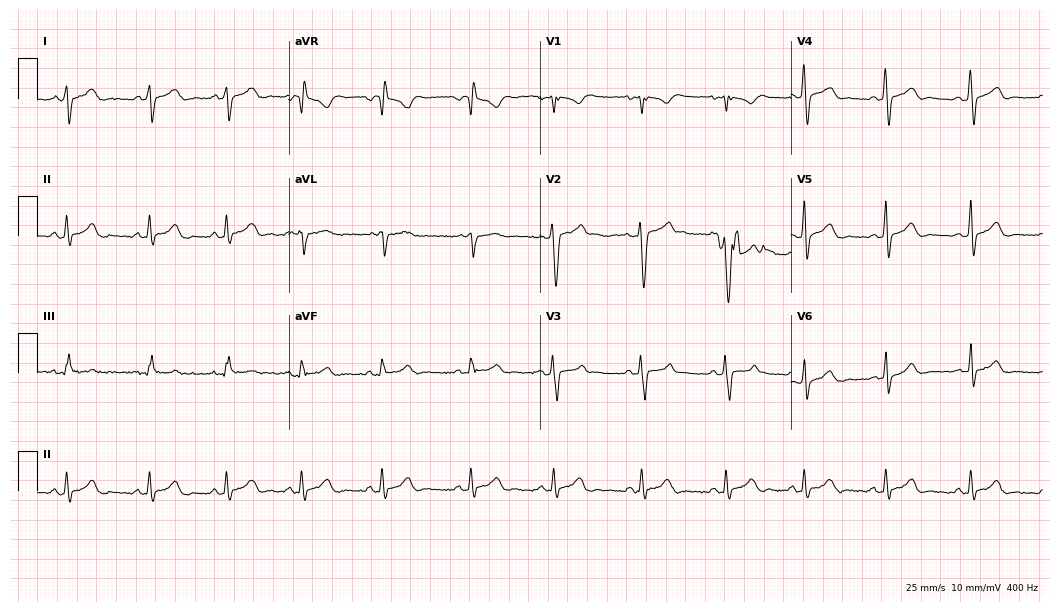
ECG (10.2-second recording at 400 Hz) — a male patient, 21 years old. Labelled as a normal ECG.